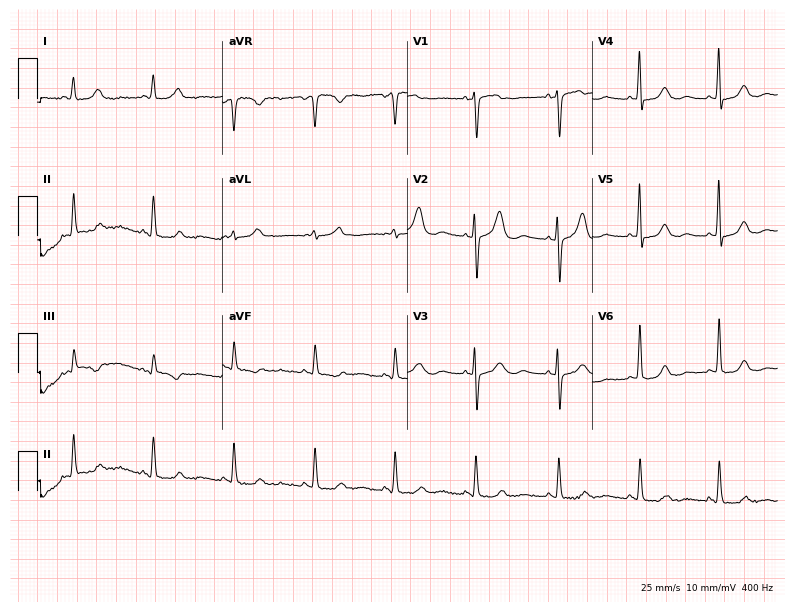
12-lead ECG from a 57-year-old female. No first-degree AV block, right bundle branch block, left bundle branch block, sinus bradycardia, atrial fibrillation or sinus tachycardia recorded for this tracing.